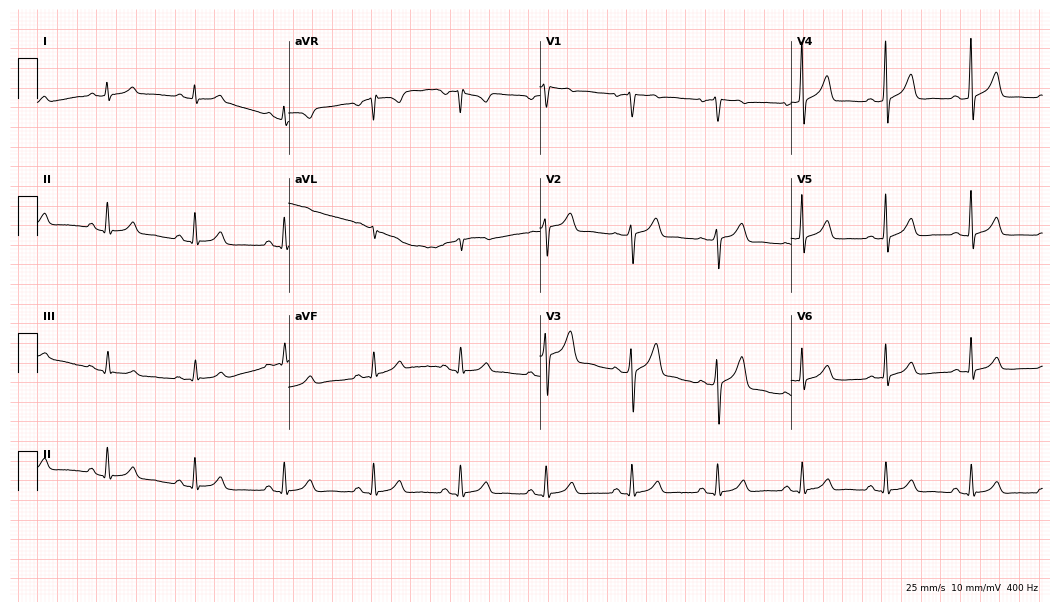
Resting 12-lead electrocardiogram (10.2-second recording at 400 Hz). Patient: a male, 39 years old. Read as a normal ECG.